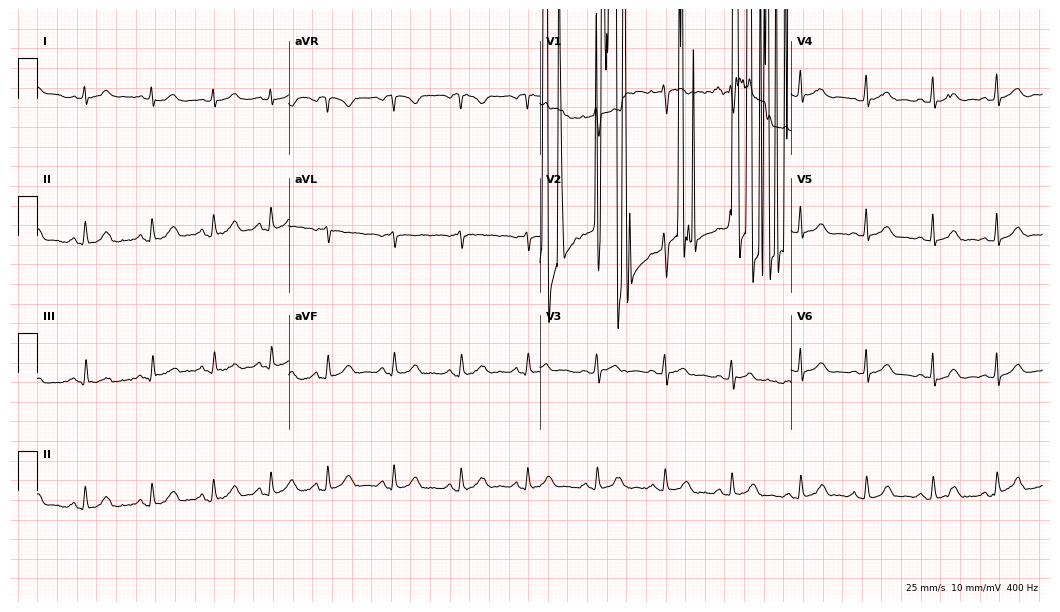
Electrocardiogram (10.2-second recording at 400 Hz), a 35-year-old female. Overall reading on record: normal ECG.